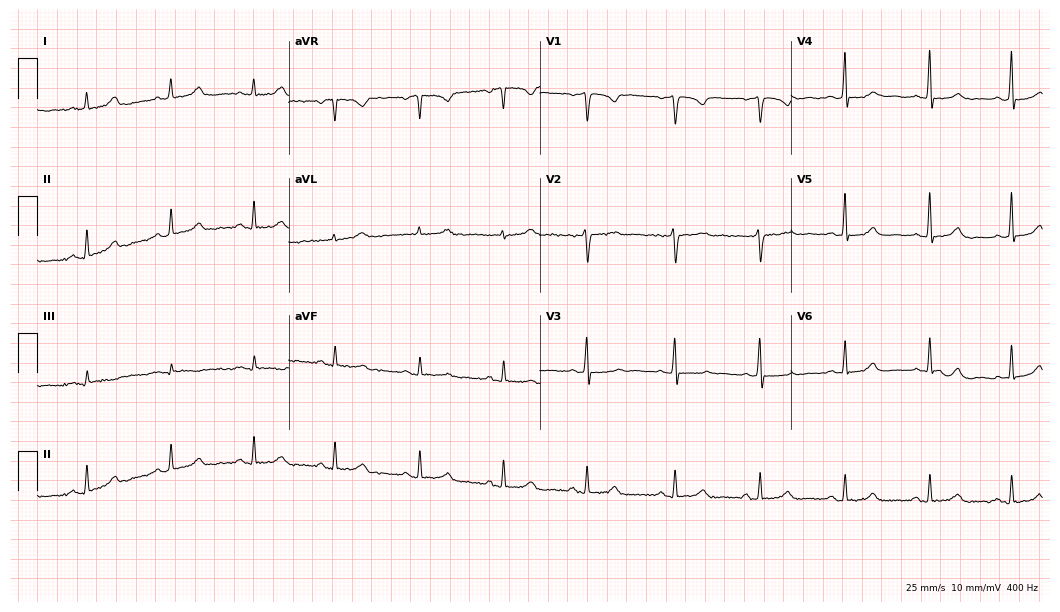
Standard 12-lead ECG recorded from a female patient, 35 years old (10.2-second recording at 400 Hz). Read as a normal ECG.